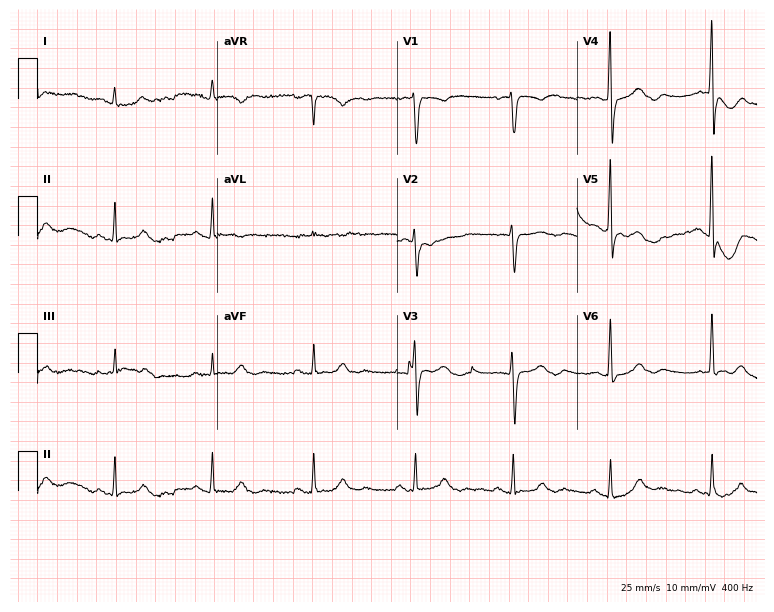
Standard 12-lead ECG recorded from a 77-year-old woman. None of these six findings is recorded: first-degree AV block, right bundle branch block (RBBB), left bundle branch block (LBBB), sinus bradycardia, atrial fibrillation (AF), sinus tachycardia.